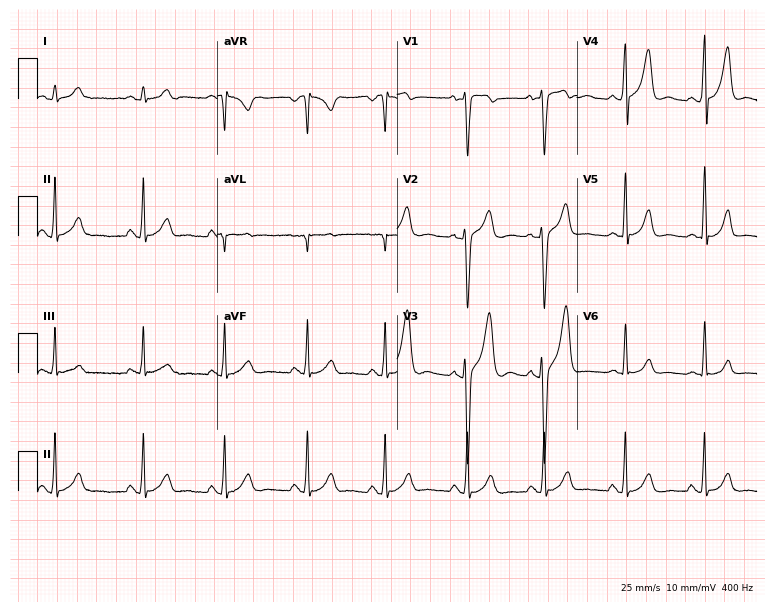
ECG (7.3-second recording at 400 Hz) — a 33-year-old man. Labelled as a normal ECG.